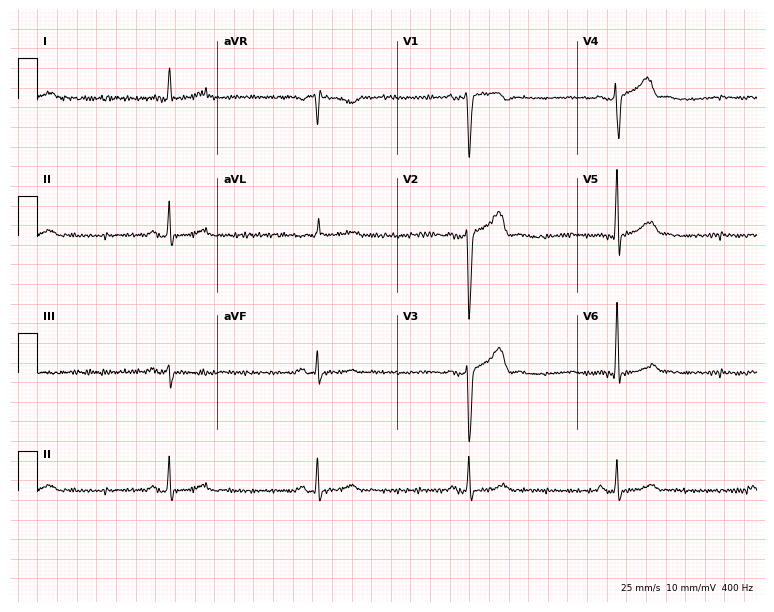
ECG (7.3-second recording at 400 Hz) — a male patient, 43 years old. Findings include sinus bradycardia (a sinus rate of 50 beats per minute or less).